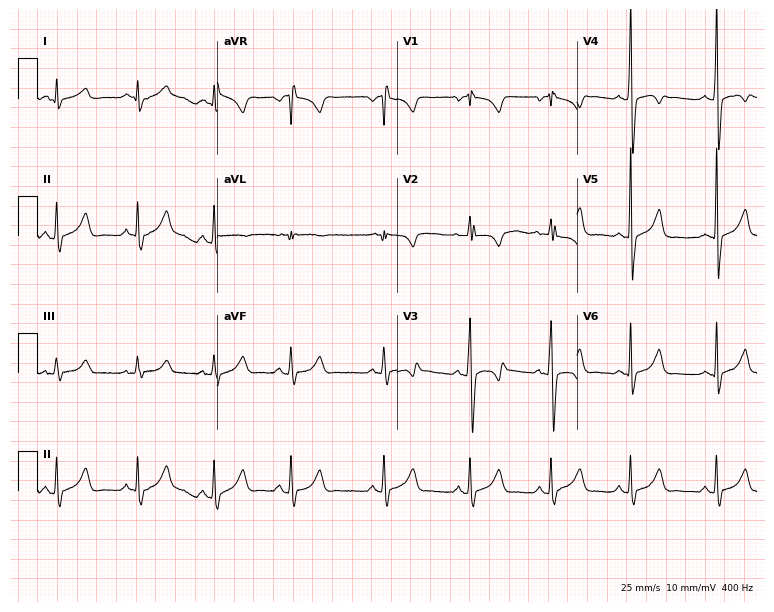
ECG — a 79-year-old woman. Screened for six findings — first-degree AV block, right bundle branch block, left bundle branch block, sinus bradycardia, atrial fibrillation, sinus tachycardia — none is recorded.